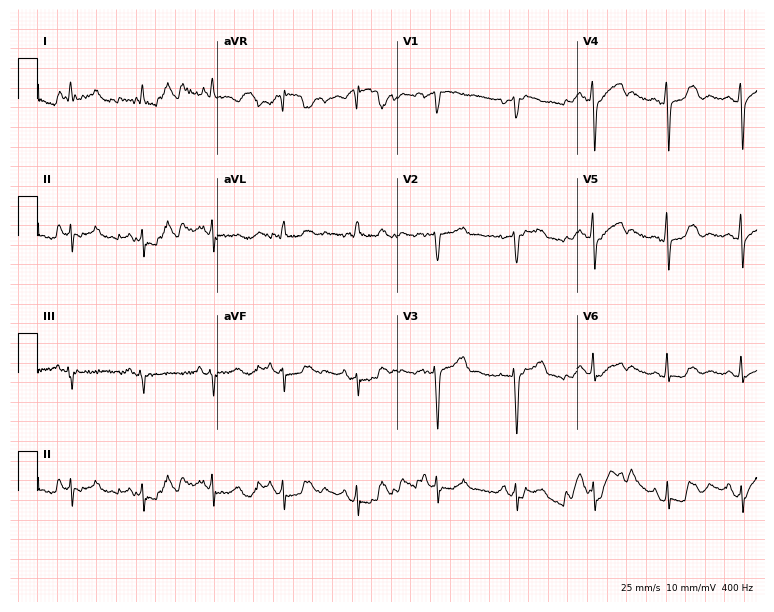
12-lead ECG from a female, 62 years old (7.3-second recording at 400 Hz). No first-degree AV block, right bundle branch block, left bundle branch block, sinus bradycardia, atrial fibrillation or sinus tachycardia recorded for this tracing. Other findings, if any, are not listed.